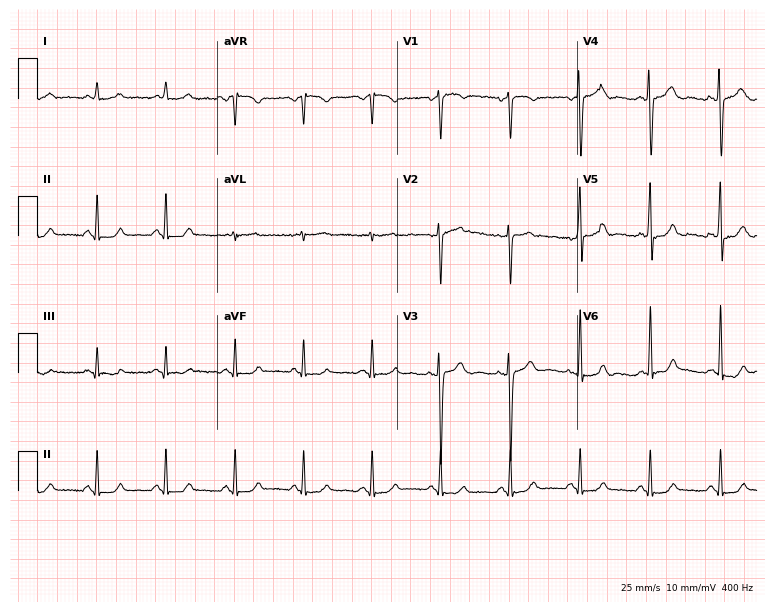
Standard 12-lead ECG recorded from a 53-year-old male patient. None of these six findings is recorded: first-degree AV block, right bundle branch block (RBBB), left bundle branch block (LBBB), sinus bradycardia, atrial fibrillation (AF), sinus tachycardia. Only these six findings were labelled.